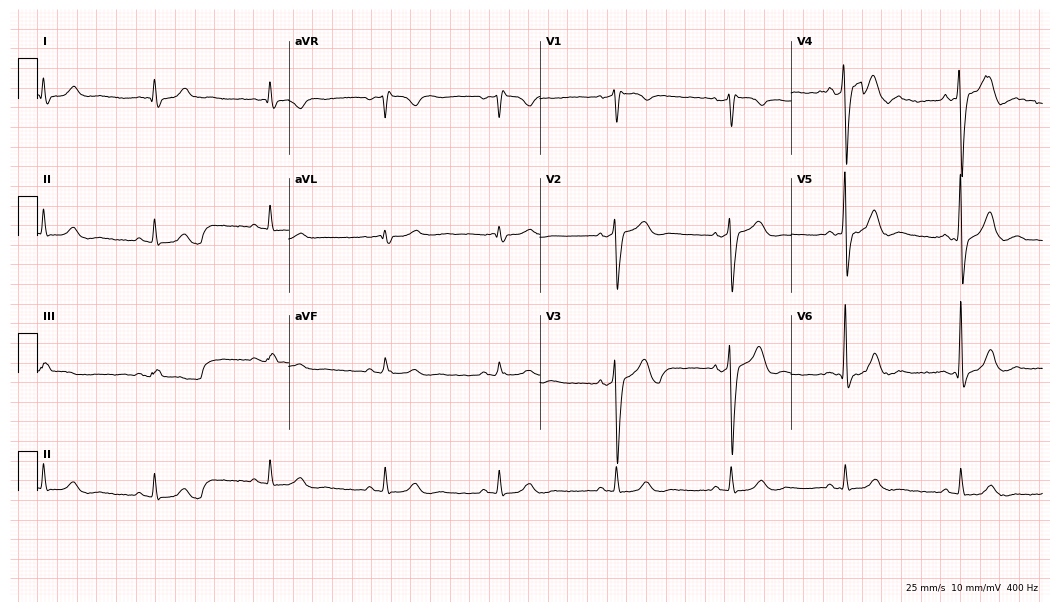
12-lead ECG from a male, 80 years old. No first-degree AV block, right bundle branch block, left bundle branch block, sinus bradycardia, atrial fibrillation or sinus tachycardia recorded for this tracing. Other findings, if any, are not listed.